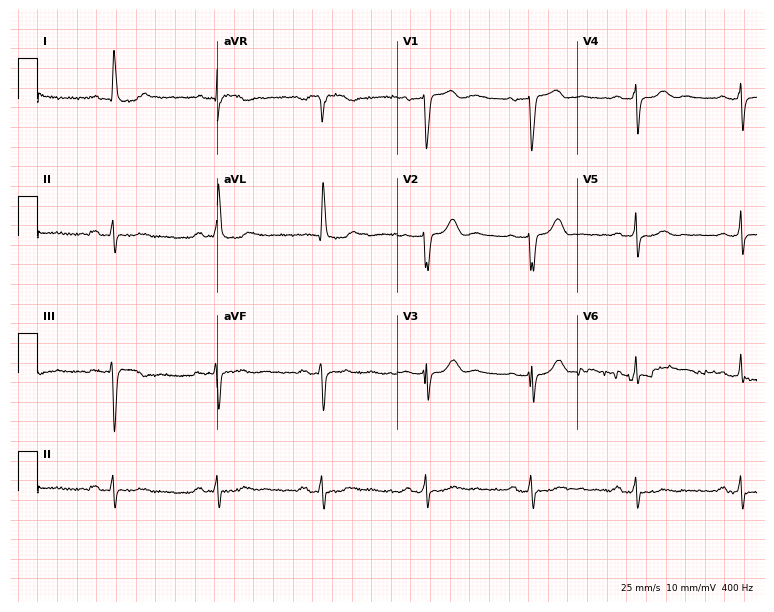
Standard 12-lead ECG recorded from an 81-year-old female. None of these six findings is recorded: first-degree AV block, right bundle branch block (RBBB), left bundle branch block (LBBB), sinus bradycardia, atrial fibrillation (AF), sinus tachycardia. Findings outside these six are not listed.